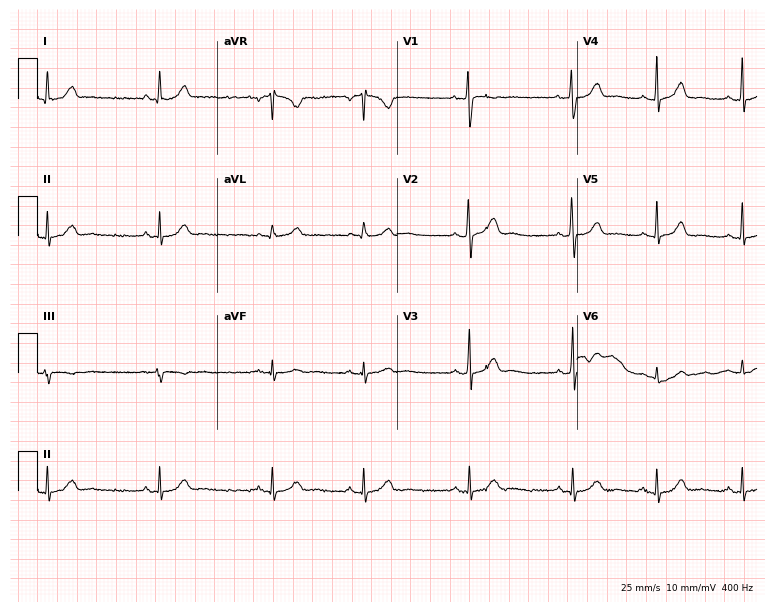
Electrocardiogram (7.3-second recording at 400 Hz), a 23-year-old female patient. Of the six screened findings (first-degree AV block, right bundle branch block (RBBB), left bundle branch block (LBBB), sinus bradycardia, atrial fibrillation (AF), sinus tachycardia), none is recorded.